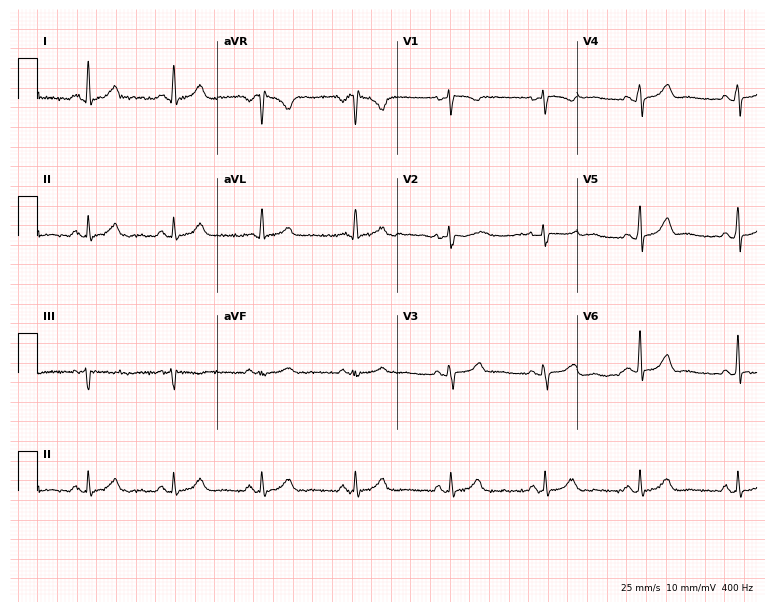
12-lead ECG from a 40-year-old female (7.3-second recording at 400 Hz). Recorded interpretation: within normal limits.